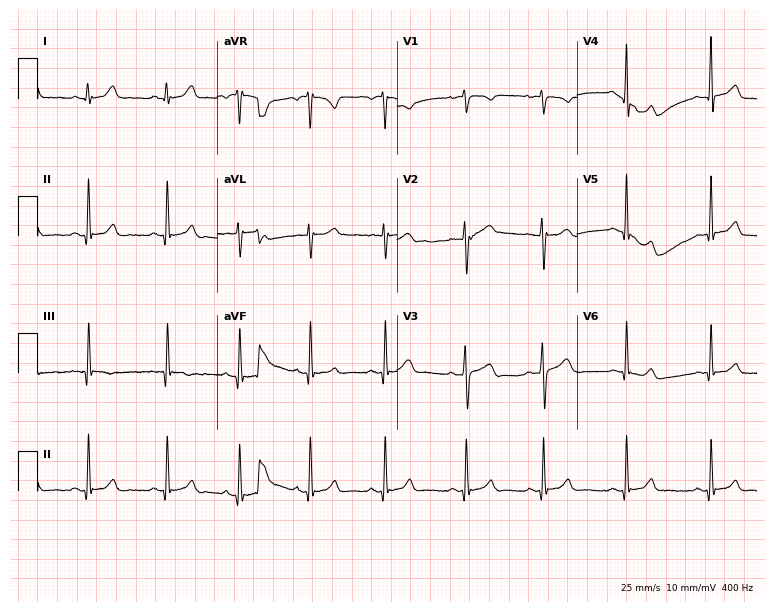
ECG (7.3-second recording at 400 Hz) — a 27-year-old female. Labelled as a normal ECG.